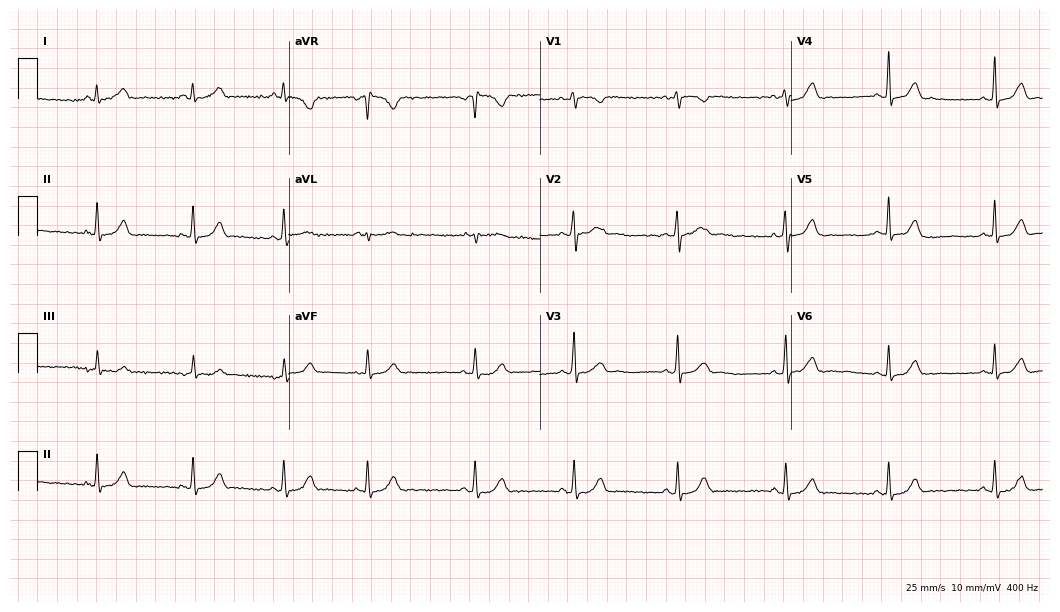
ECG (10.2-second recording at 400 Hz) — a female patient, 39 years old. Labelled as a normal ECG.